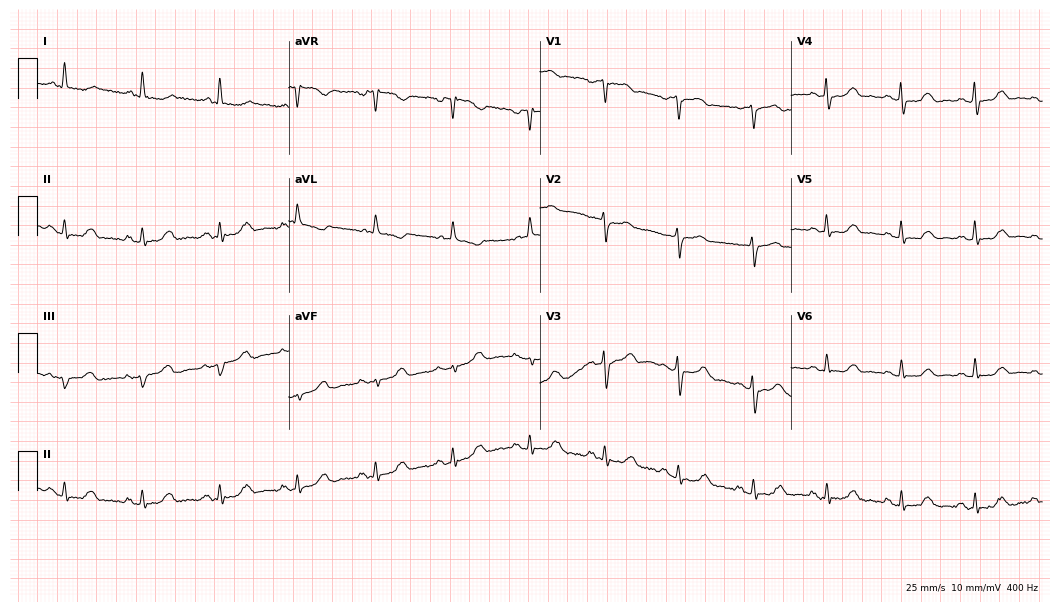
Electrocardiogram (10.2-second recording at 400 Hz), a 70-year-old woman. Overall reading on record: normal ECG.